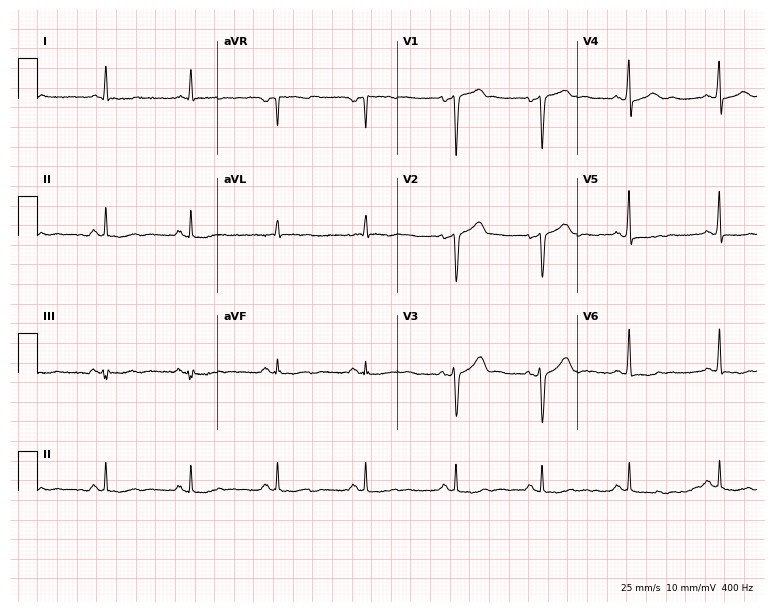
Resting 12-lead electrocardiogram (7.3-second recording at 400 Hz). Patient: a man, 46 years old. Read as a normal ECG.